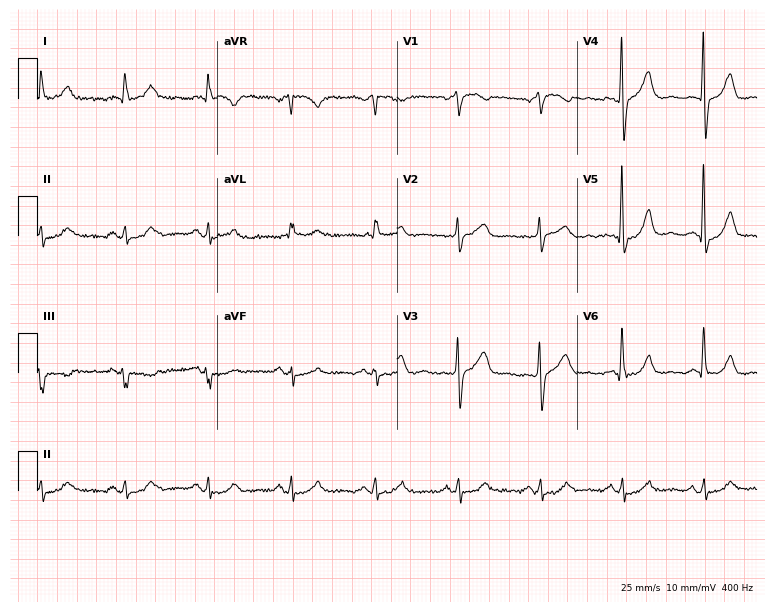
Standard 12-lead ECG recorded from a 59-year-old male patient. None of these six findings is recorded: first-degree AV block, right bundle branch block, left bundle branch block, sinus bradycardia, atrial fibrillation, sinus tachycardia. Only these six findings were labelled.